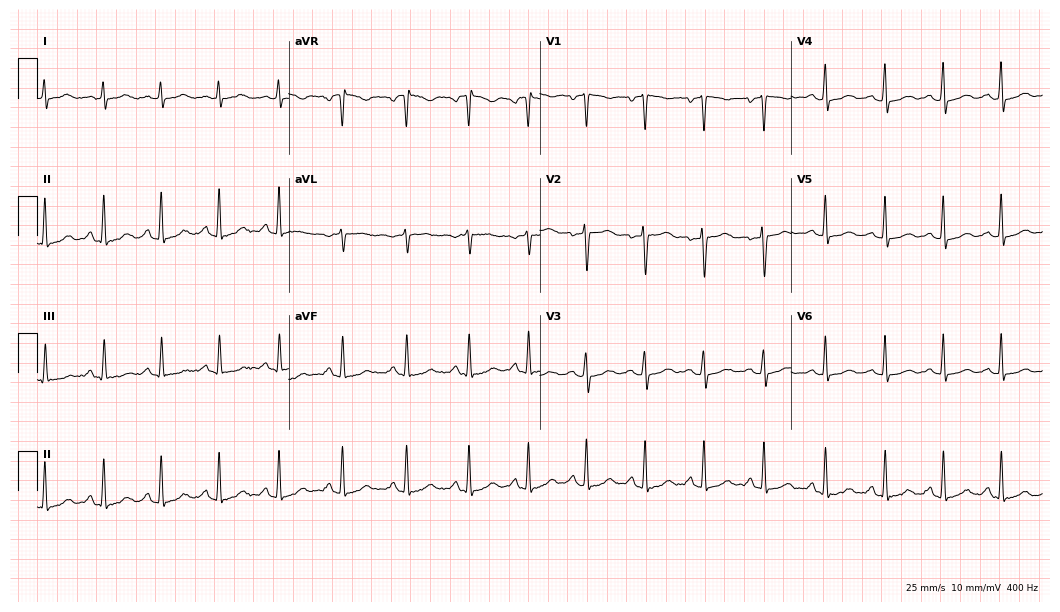
Standard 12-lead ECG recorded from a 41-year-old female patient. None of these six findings is recorded: first-degree AV block, right bundle branch block (RBBB), left bundle branch block (LBBB), sinus bradycardia, atrial fibrillation (AF), sinus tachycardia.